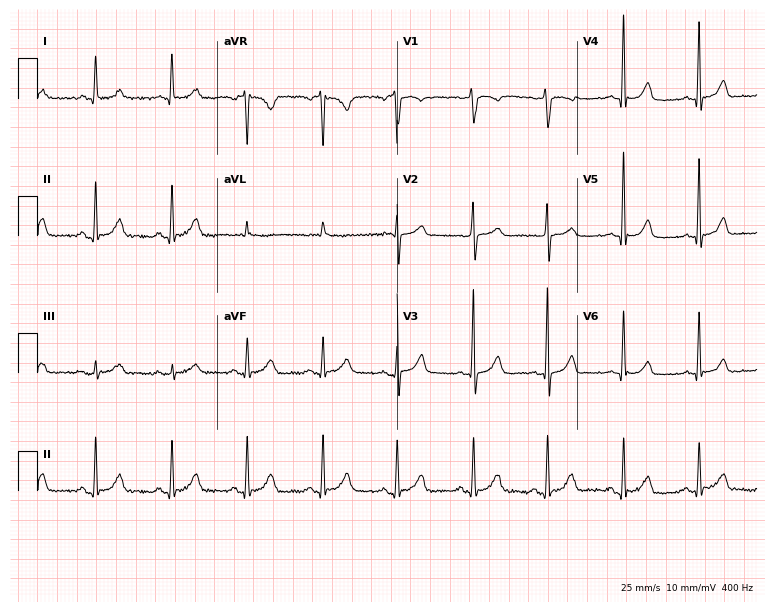
Resting 12-lead electrocardiogram (7.3-second recording at 400 Hz). Patient: a 75-year-old woman. Read as a normal ECG.